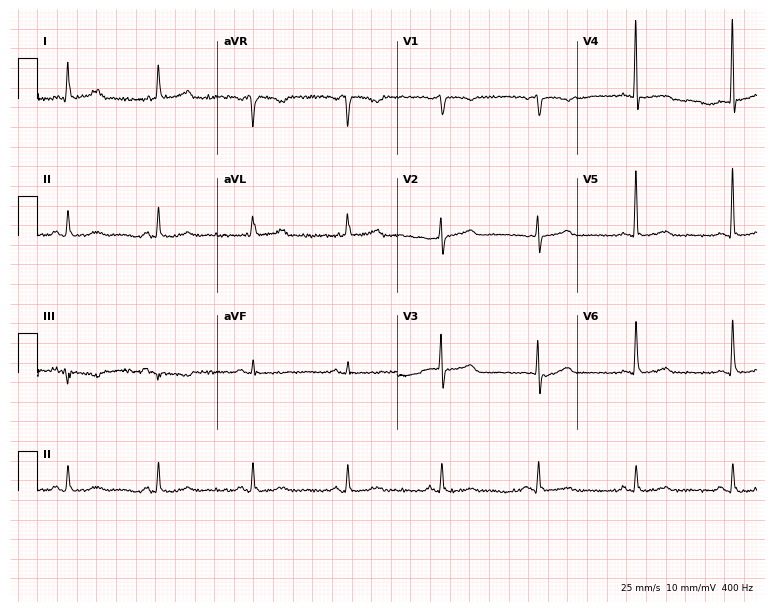
Resting 12-lead electrocardiogram (7.3-second recording at 400 Hz). Patient: a woman, 80 years old. None of these six findings is recorded: first-degree AV block, right bundle branch block, left bundle branch block, sinus bradycardia, atrial fibrillation, sinus tachycardia.